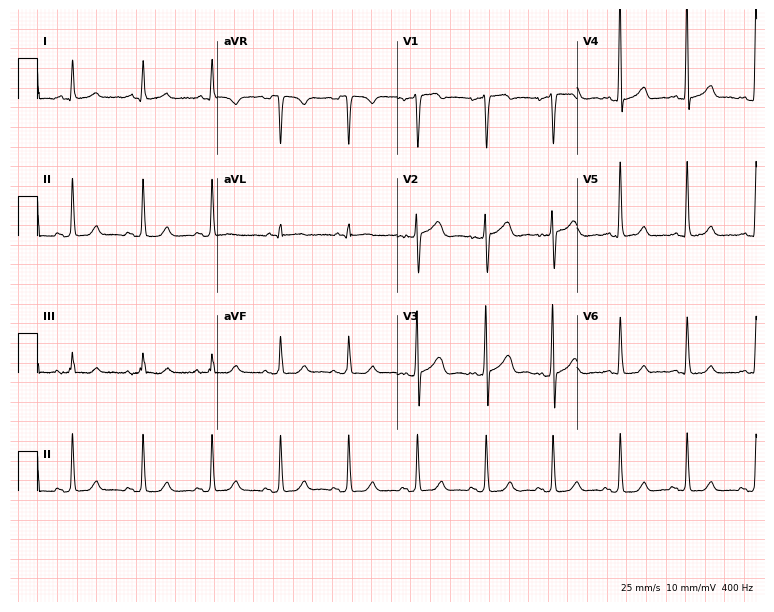
Standard 12-lead ECG recorded from a woman, 29 years old. Read as a normal ECG.